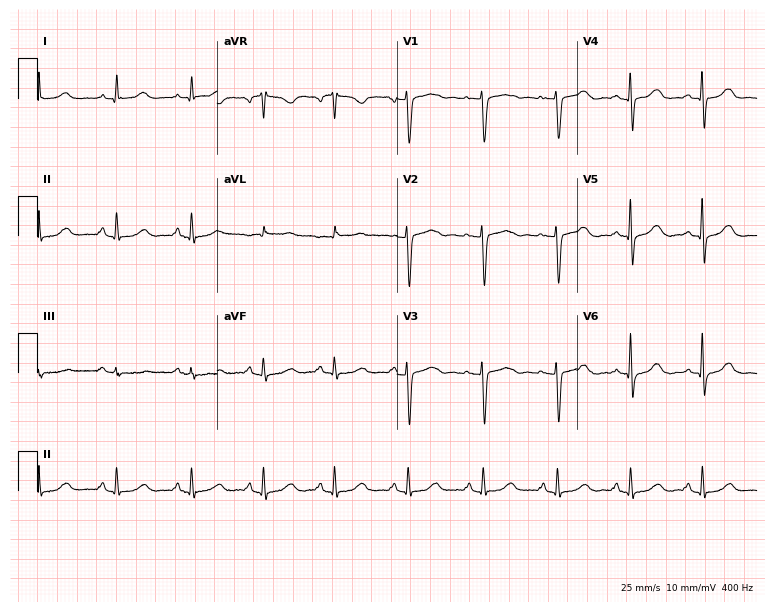
12-lead ECG from a woman, 59 years old. Screened for six findings — first-degree AV block, right bundle branch block, left bundle branch block, sinus bradycardia, atrial fibrillation, sinus tachycardia — none is recorded.